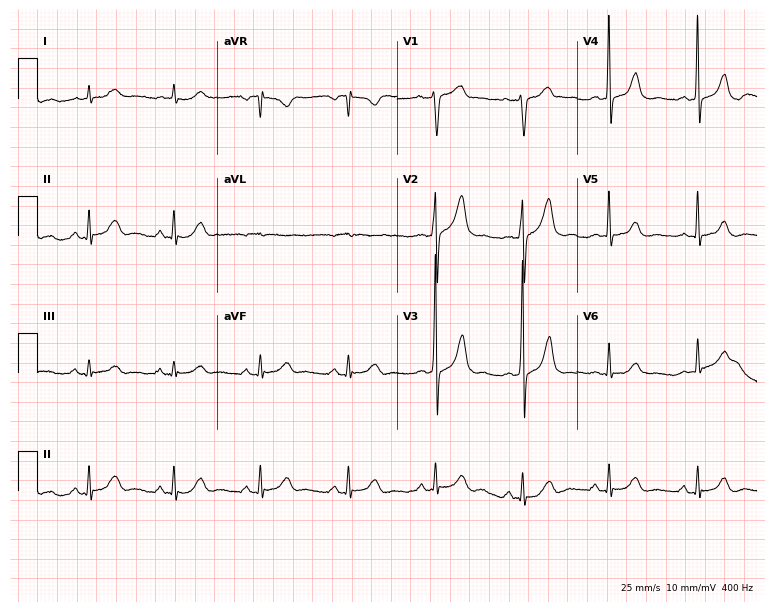
12-lead ECG from a 55-year-old man (7.3-second recording at 400 Hz). Recorded interpretation: within normal limits.